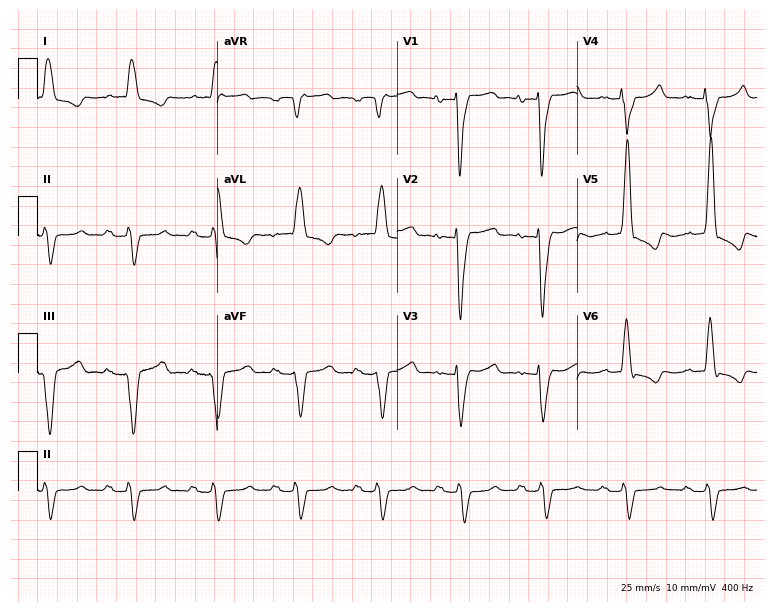
Standard 12-lead ECG recorded from a man, 77 years old. The tracing shows left bundle branch block.